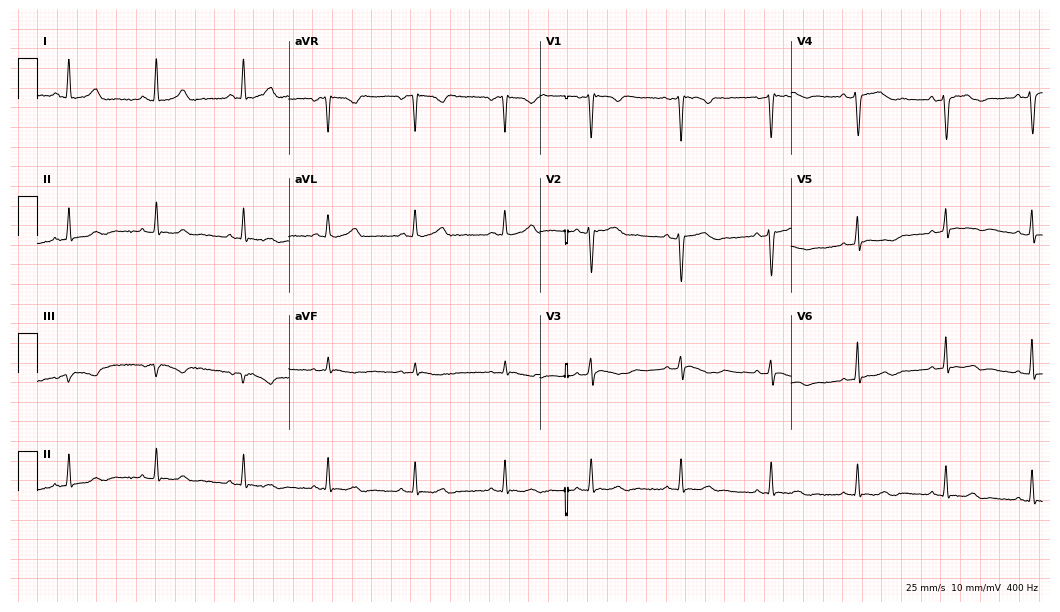
12-lead ECG from a female, 31 years old. No first-degree AV block, right bundle branch block, left bundle branch block, sinus bradycardia, atrial fibrillation or sinus tachycardia recorded for this tracing.